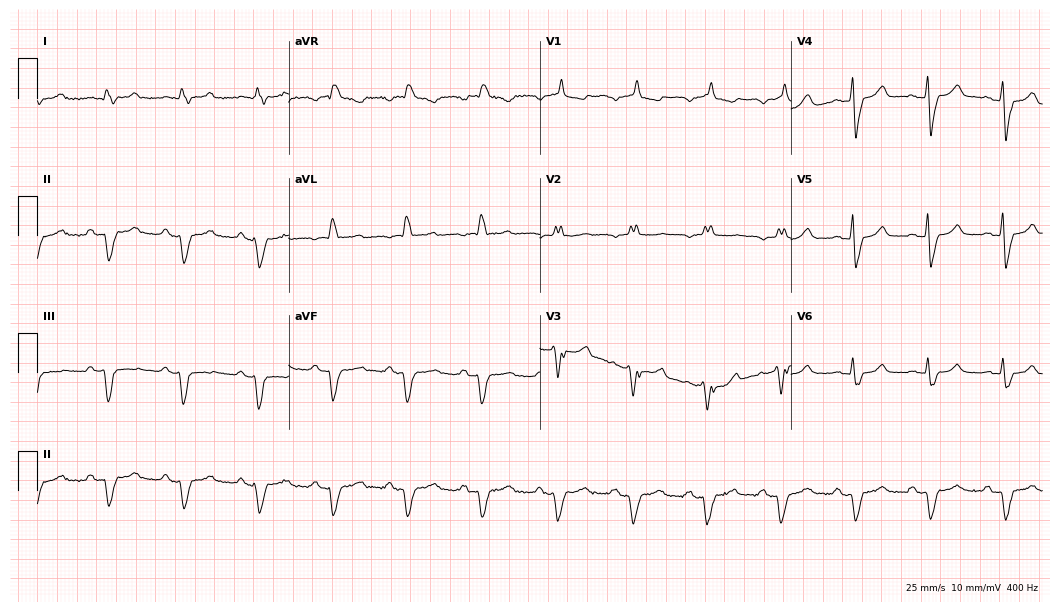
12-lead ECG from a 78-year-old male. Findings include right bundle branch block.